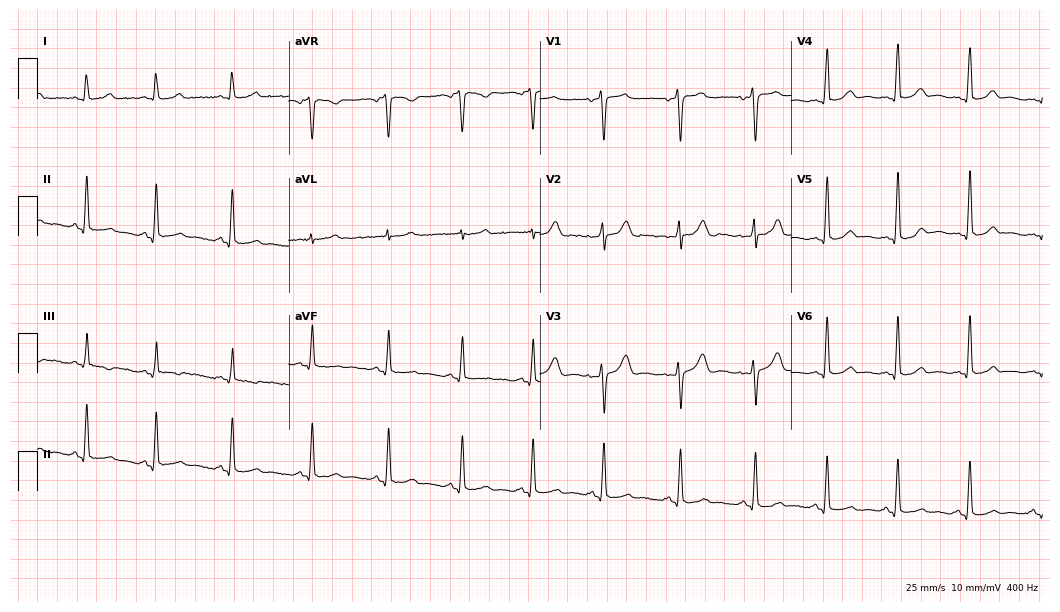
Standard 12-lead ECG recorded from a 34-year-old female (10.2-second recording at 400 Hz). None of these six findings is recorded: first-degree AV block, right bundle branch block (RBBB), left bundle branch block (LBBB), sinus bradycardia, atrial fibrillation (AF), sinus tachycardia.